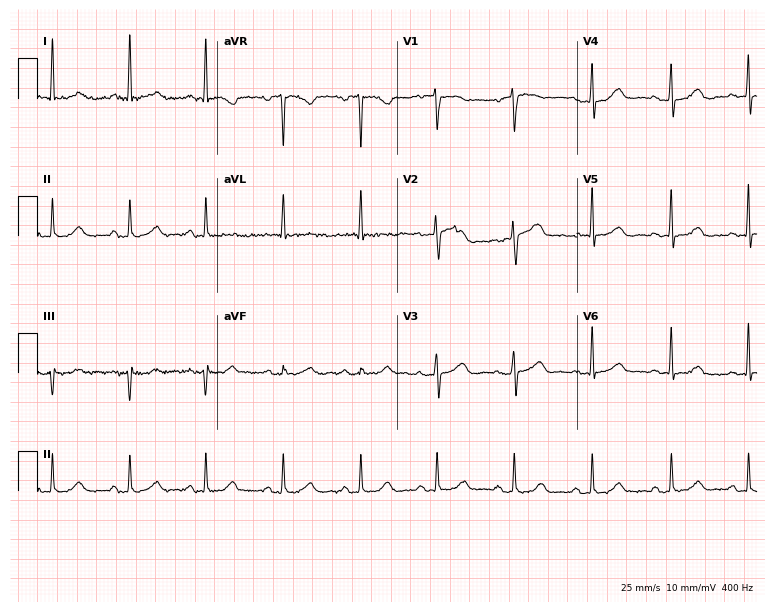
ECG (7.3-second recording at 400 Hz) — a 62-year-old woman. Labelled as a normal ECG.